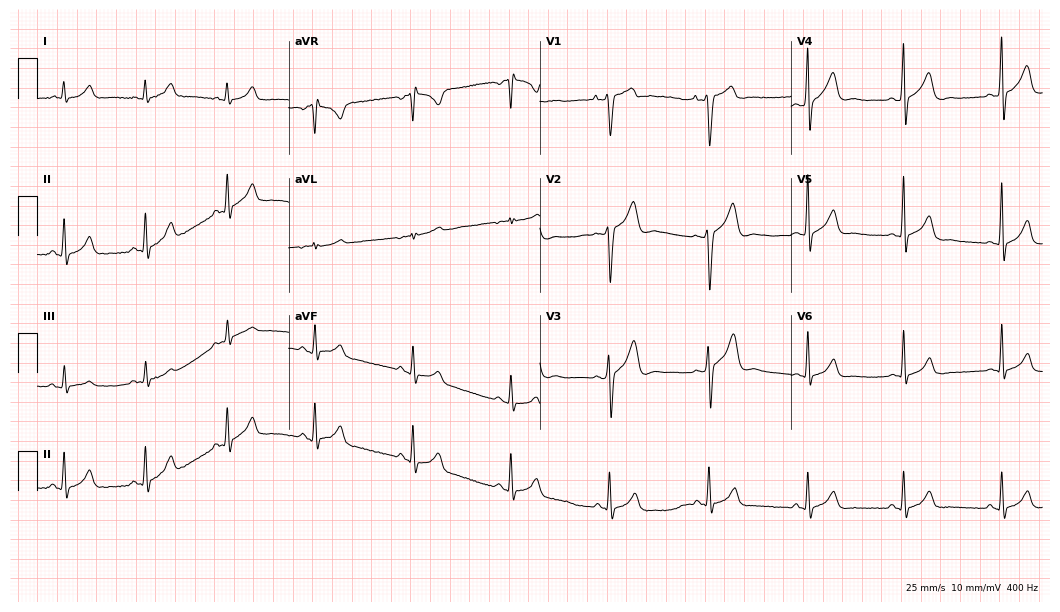
Electrocardiogram, a male, 21 years old. Overall reading on record: normal ECG.